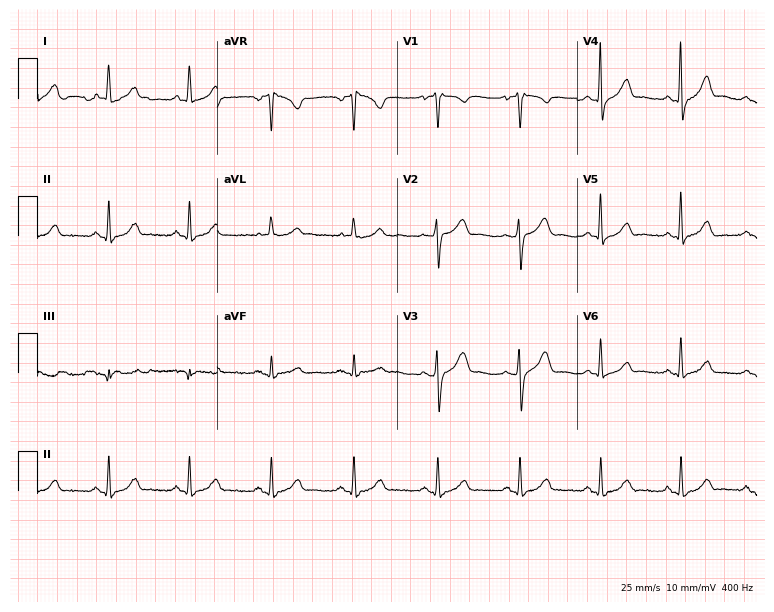
12-lead ECG from a 53-year-old female. Recorded interpretation: within normal limits.